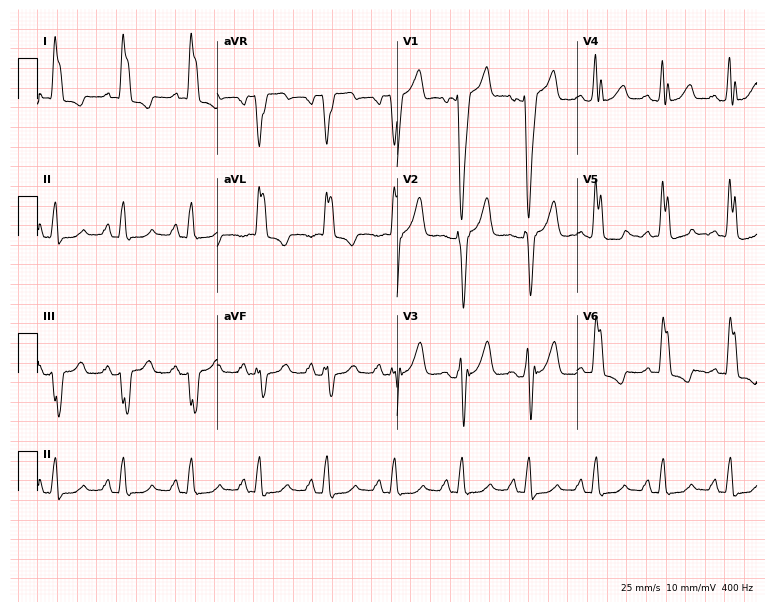
Standard 12-lead ECG recorded from a 52-year-old female (7.3-second recording at 400 Hz). The tracing shows left bundle branch block (LBBB).